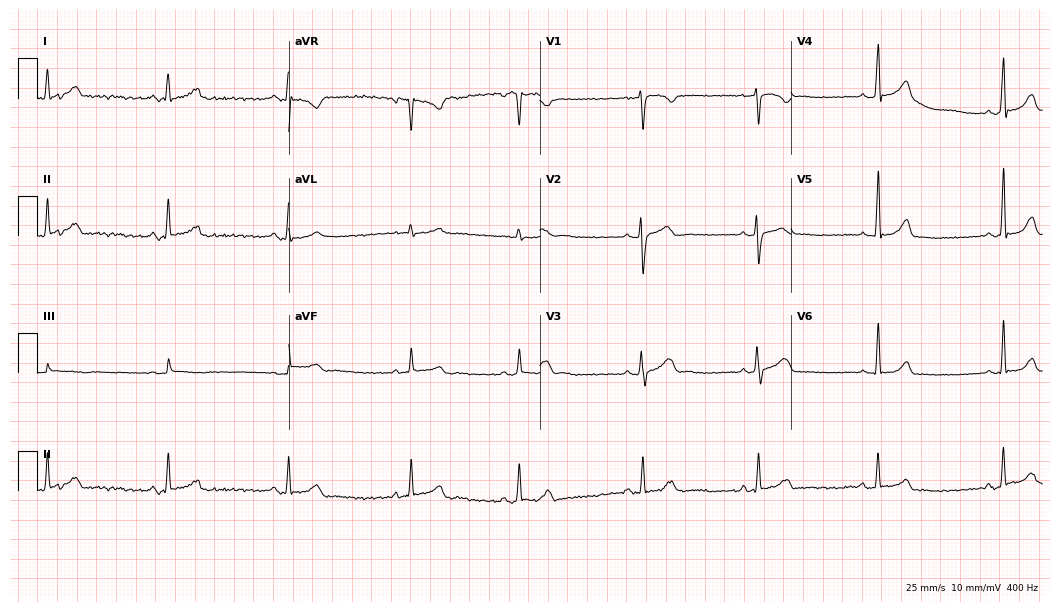
Resting 12-lead electrocardiogram (10.2-second recording at 400 Hz). Patient: a female, 30 years old. None of these six findings is recorded: first-degree AV block, right bundle branch block, left bundle branch block, sinus bradycardia, atrial fibrillation, sinus tachycardia. Findings outside these six are not listed.